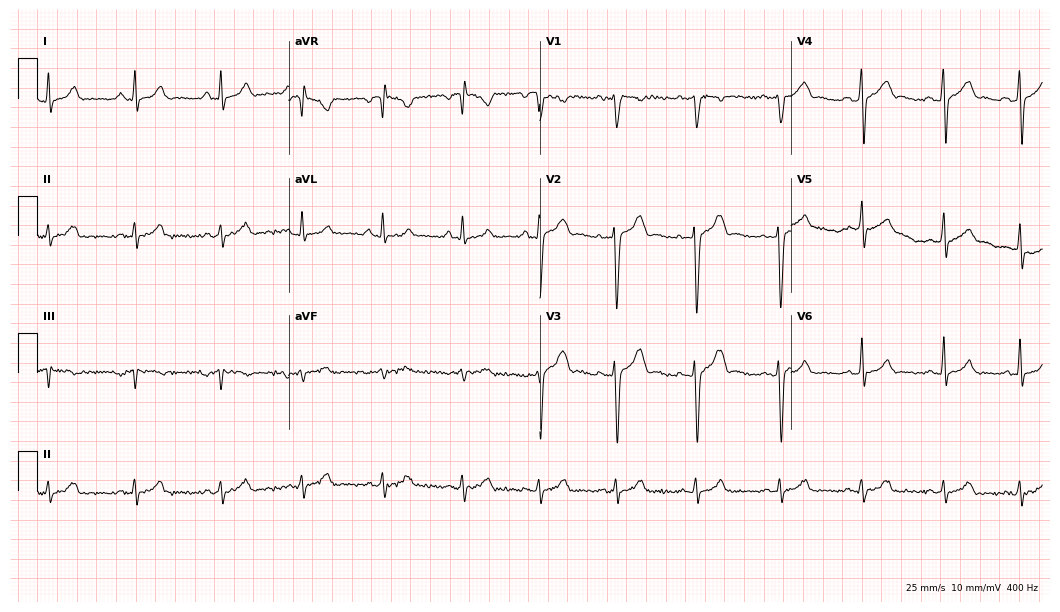
ECG — a male patient, 31 years old. Labelled as a normal ECG.